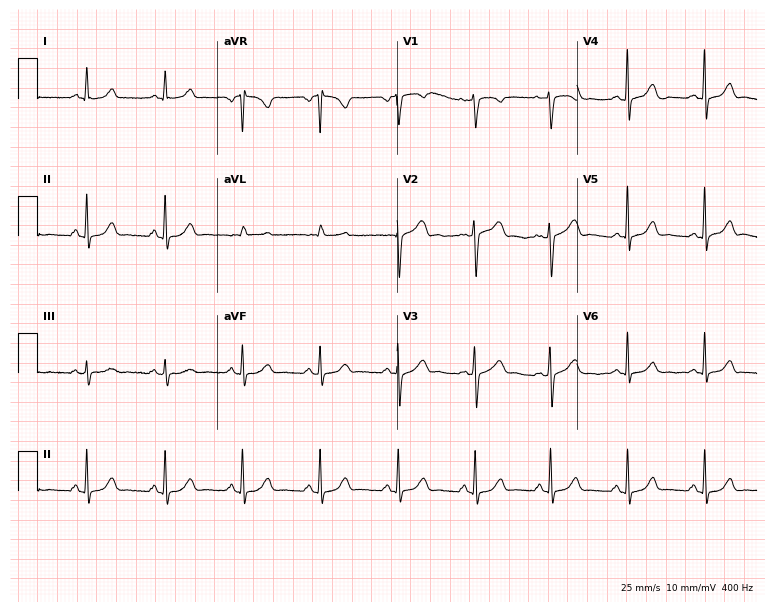
ECG (7.3-second recording at 400 Hz) — a woman, 45 years old. Screened for six findings — first-degree AV block, right bundle branch block (RBBB), left bundle branch block (LBBB), sinus bradycardia, atrial fibrillation (AF), sinus tachycardia — none is recorded. Findings outside these six are not listed.